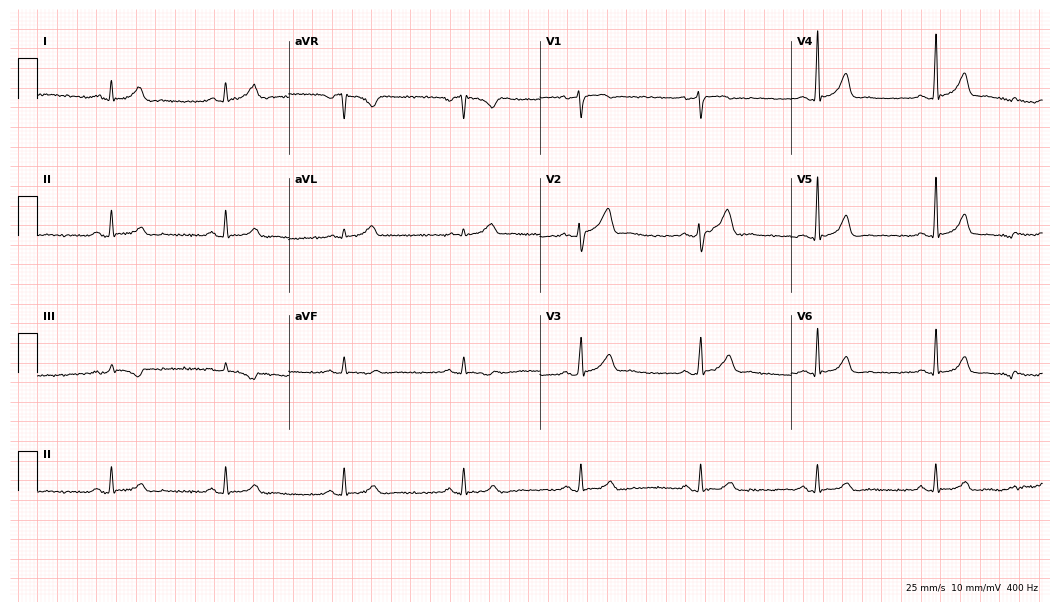
12-lead ECG from a 46-year-old female patient (10.2-second recording at 400 Hz). Recorded interpretation: within normal limits.